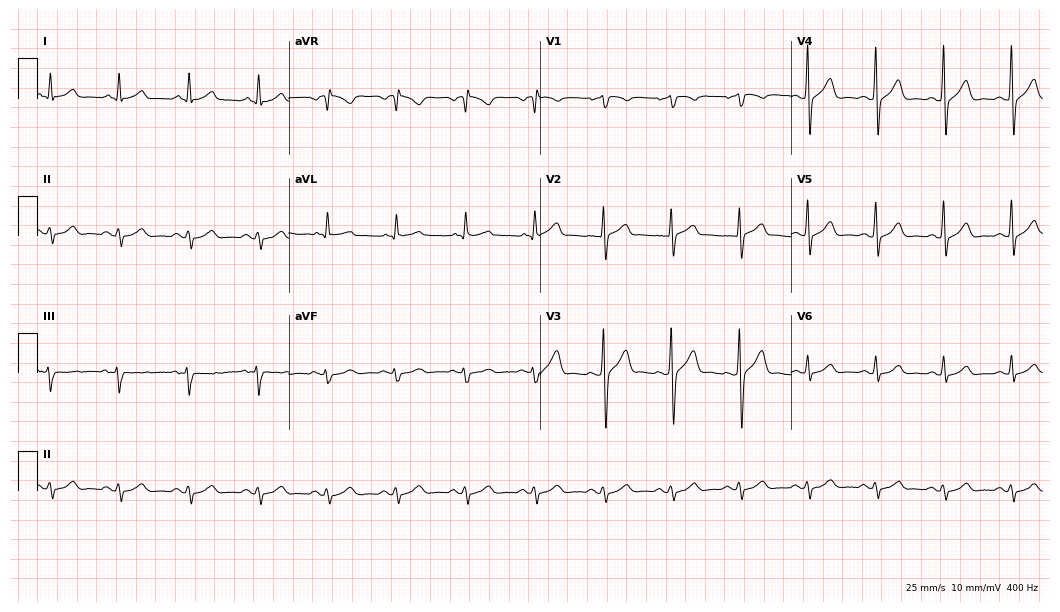
12-lead ECG from a male patient, 58 years old (10.2-second recording at 400 Hz). No first-degree AV block, right bundle branch block, left bundle branch block, sinus bradycardia, atrial fibrillation or sinus tachycardia recorded for this tracing. Only these six findings were labelled.